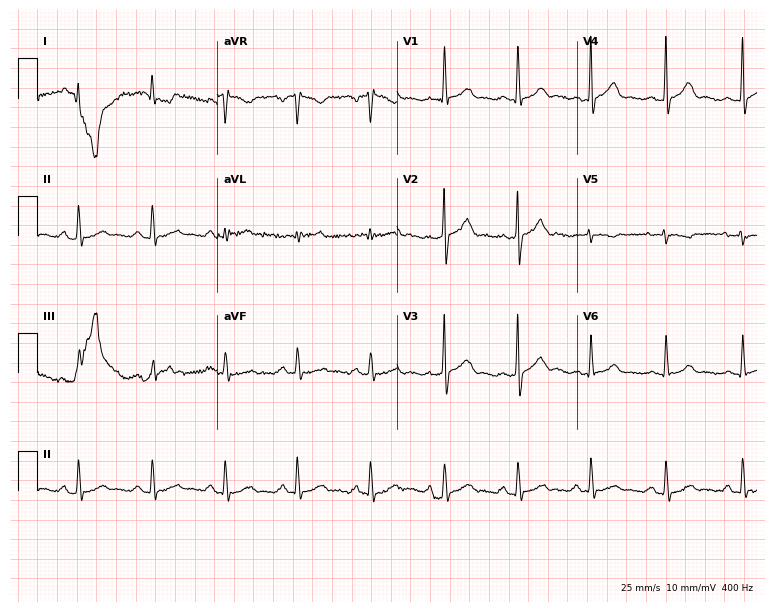
12-lead ECG from a male, 37 years old. Screened for six findings — first-degree AV block, right bundle branch block, left bundle branch block, sinus bradycardia, atrial fibrillation, sinus tachycardia — none is recorded.